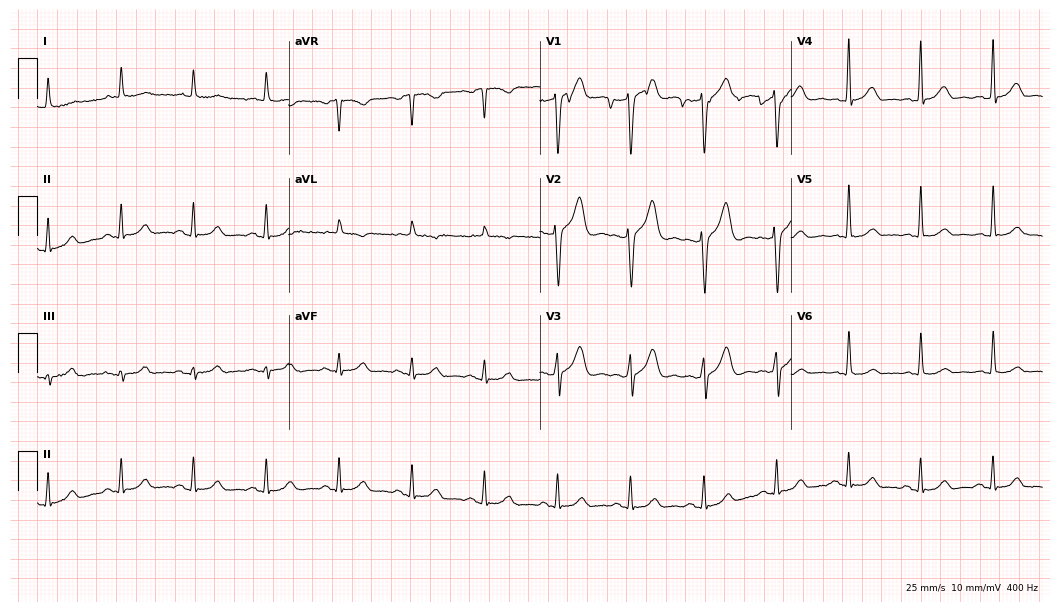
Electrocardiogram, a man, 61 years old. Of the six screened findings (first-degree AV block, right bundle branch block (RBBB), left bundle branch block (LBBB), sinus bradycardia, atrial fibrillation (AF), sinus tachycardia), none is recorded.